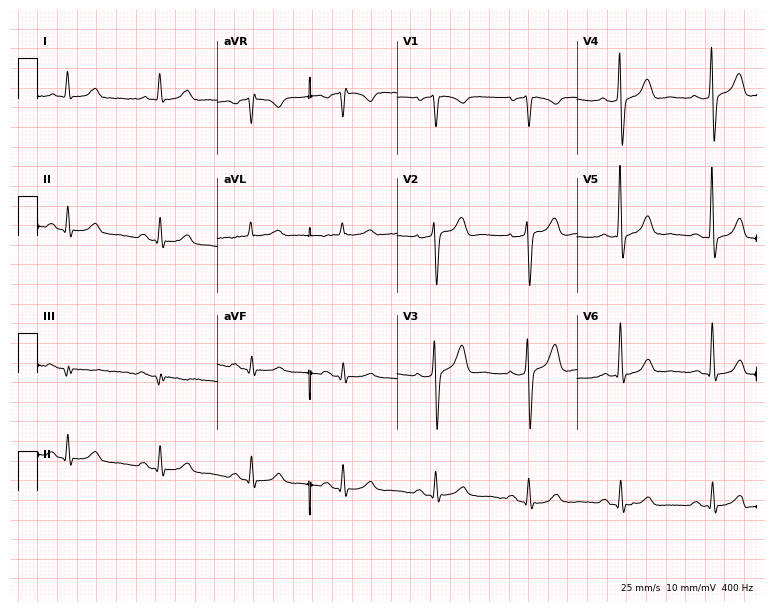
Electrocardiogram (7.3-second recording at 400 Hz), a 72-year-old male patient. Of the six screened findings (first-degree AV block, right bundle branch block (RBBB), left bundle branch block (LBBB), sinus bradycardia, atrial fibrillation (AF), sinus tachycardia), none is recorded.